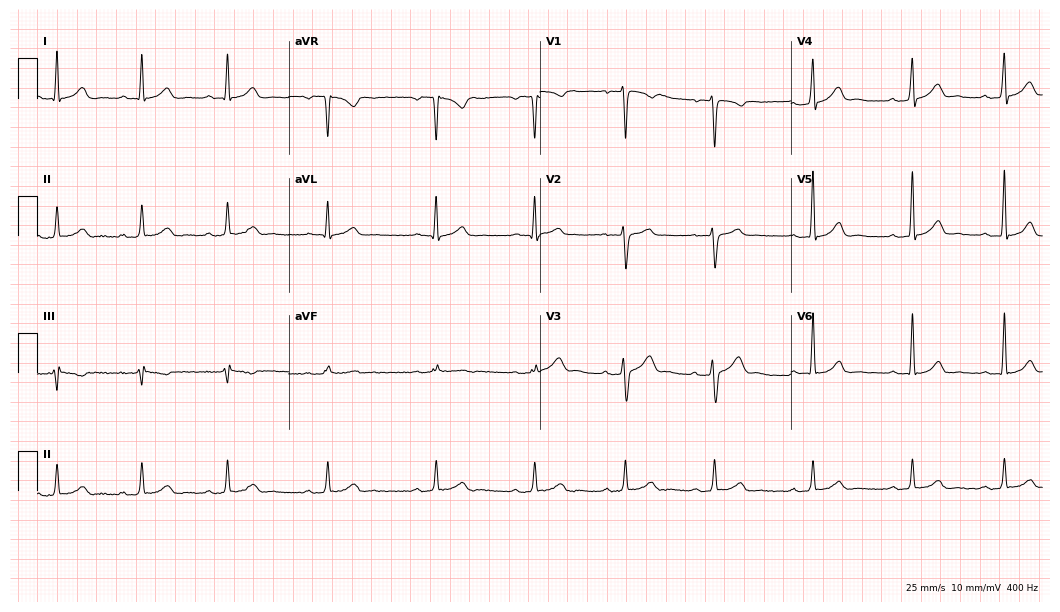
Electrocardiogram, a 29-year-old male patient. Overall reading on record: normal ECG.